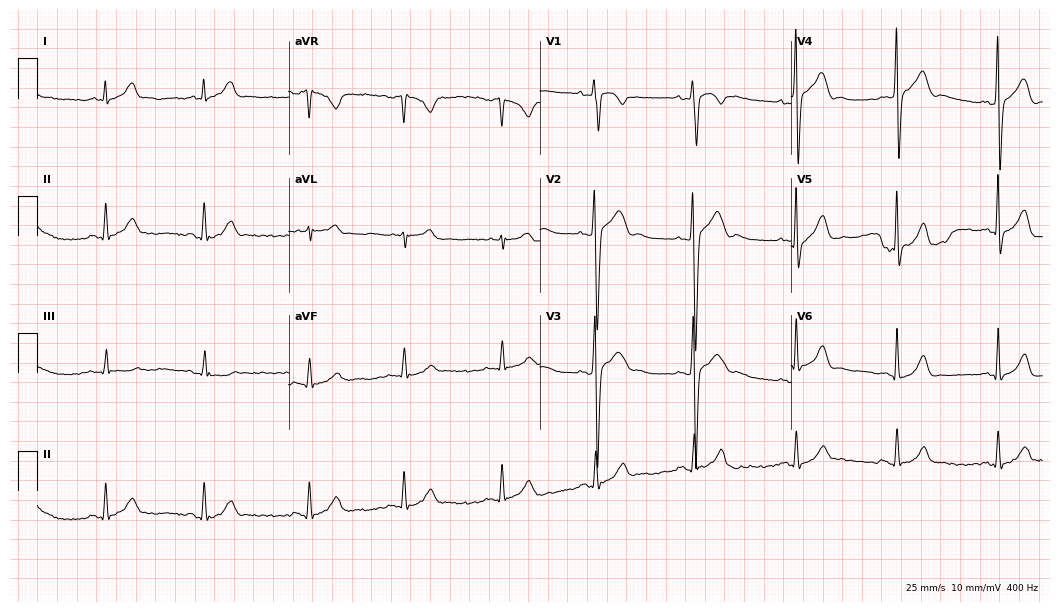
ECG (10.2-second recording at 400 Hz) — a male patient, 23 years old. Labelled as a normal ECG.